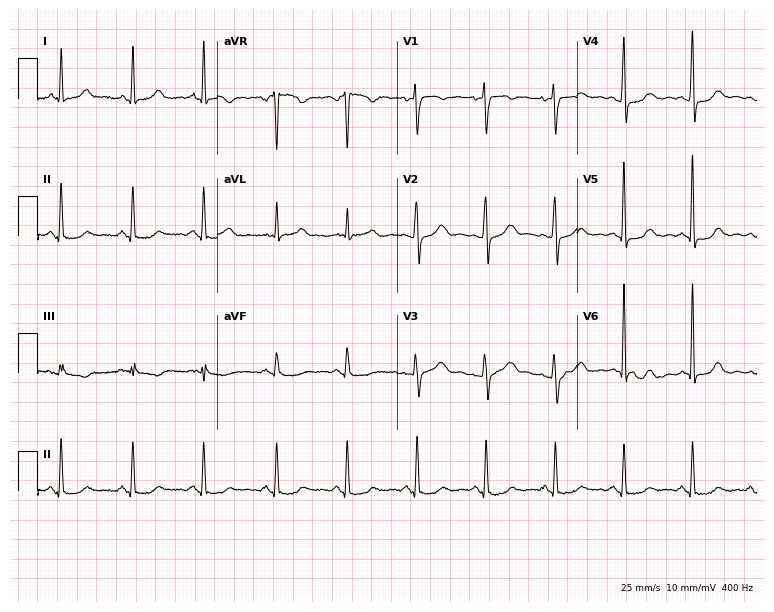
12-lead ECG from a 43-year-old female. Recorded interpretation: within normal limits.